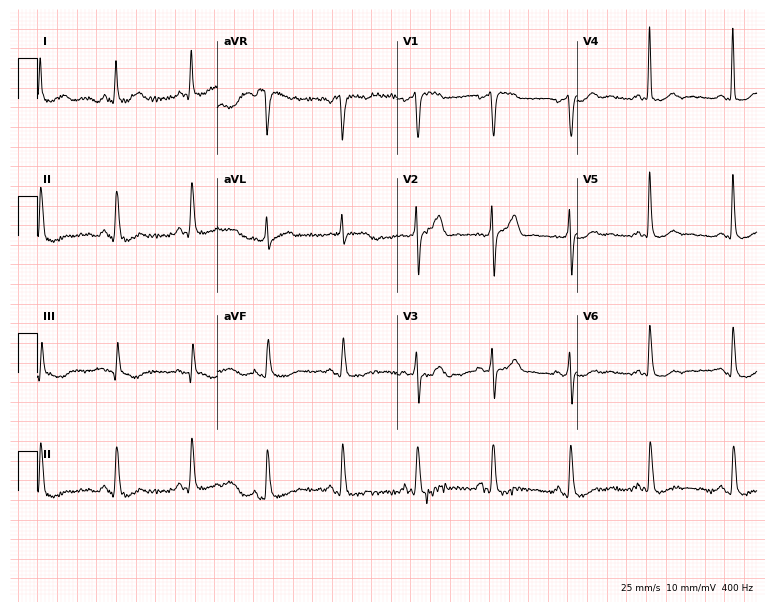
12-lead ECG from a 70-year-old male (7.3-second recording at 400 Hz). No first-degree AV block, right bundle branch block (RBBB), left bundle branch block (LBBB), sinus bradycardia, atrial fibrillation (AF) or sinus tachycardia recorded for this tracing.